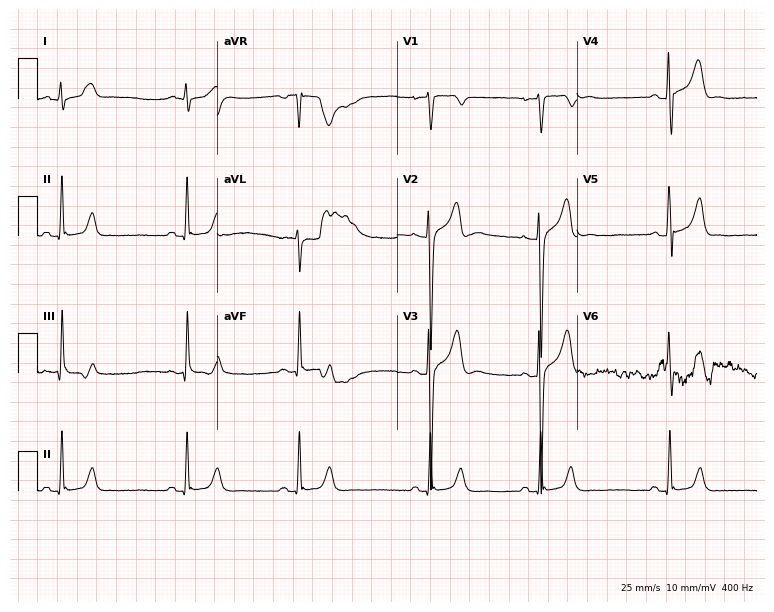
ECG — a 23-year-old male patient. Findings include sinus bradycardia (a sinus rate of 50 beats per minute or less).